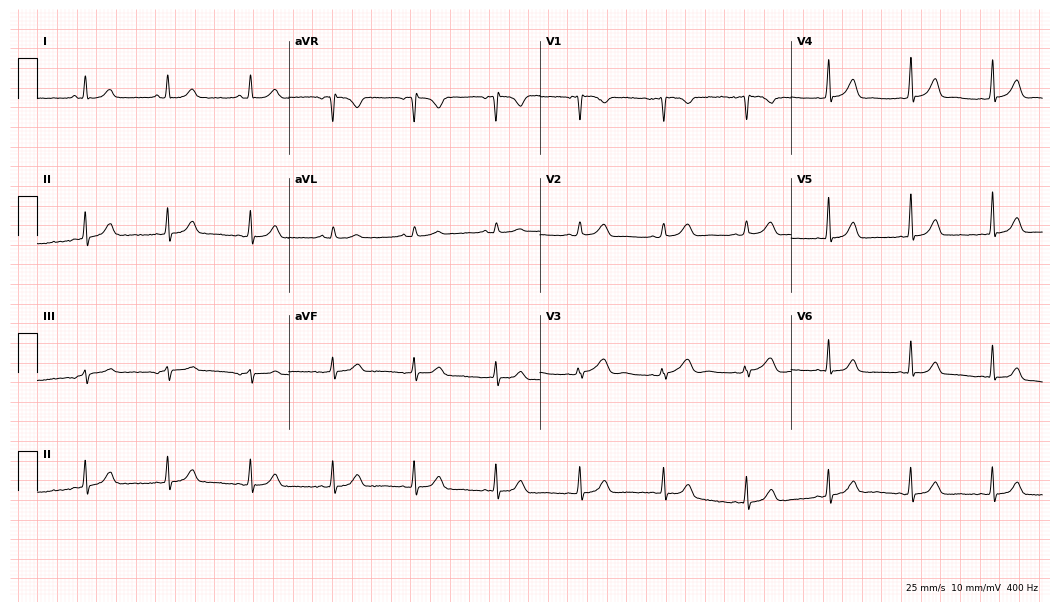
Resting 12-lead electrocardiogram (10.2-second recording at 400 Hz). Patient: a 47-year-old female. Read as a normal ECG.